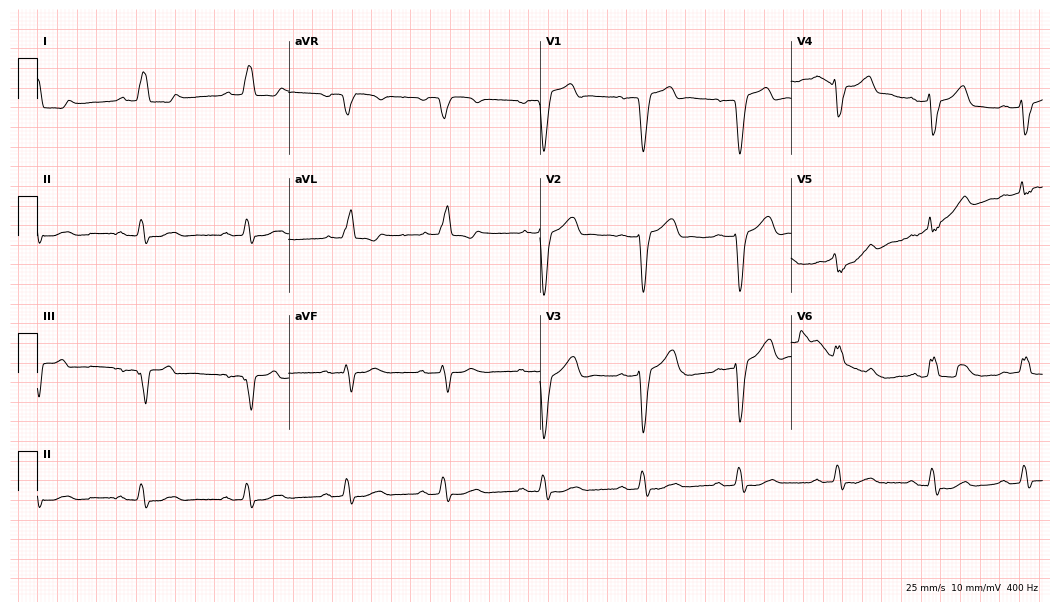
Standard 12-lead ECG recorded from a male patient, 73 years old (10.2-second recording at 400 Hz). The tracing shows first-degree AV block, left bundle branch block (LBBB), sinus tachycardia (a sinus rate of 100 beats per minute or more).